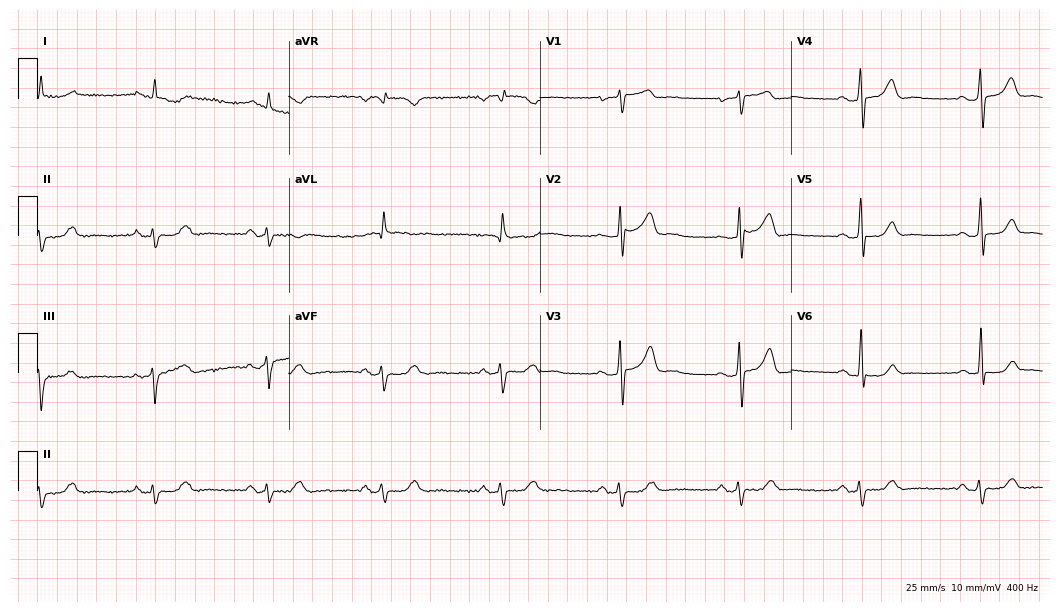
Electrocardiogram (10.2-second recording at 400 Hz), a man, 74 years old. Of the six screened findings (first-degree AV block, right bundle branch block (RBBB), left bundle branch block (LBBB), sinus bradycardia, atrial fibrillation (AF), sinus tachycardia), none is recorded.